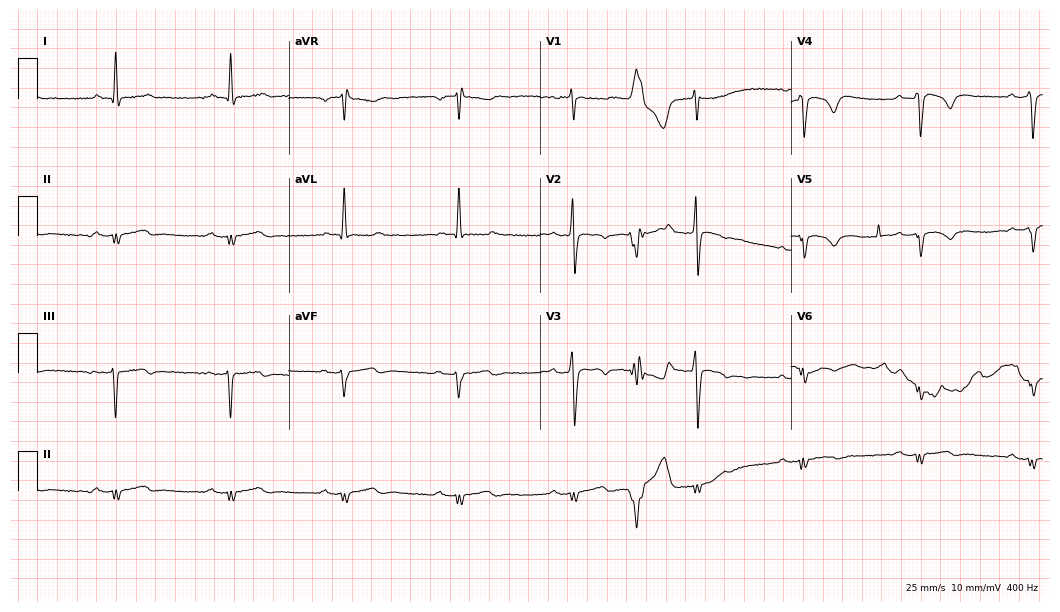
Resting 12-lead electrocardiogram. Patient: a 62-year-old man. None of these six findings is recorded: first-degree AV block, right bundle branch block (RBBB), left bundle branch block (LBBB), sinus bradycardia, atrial fibrillation (AF), sinus tachycardia. Findings outside these six are not listed.